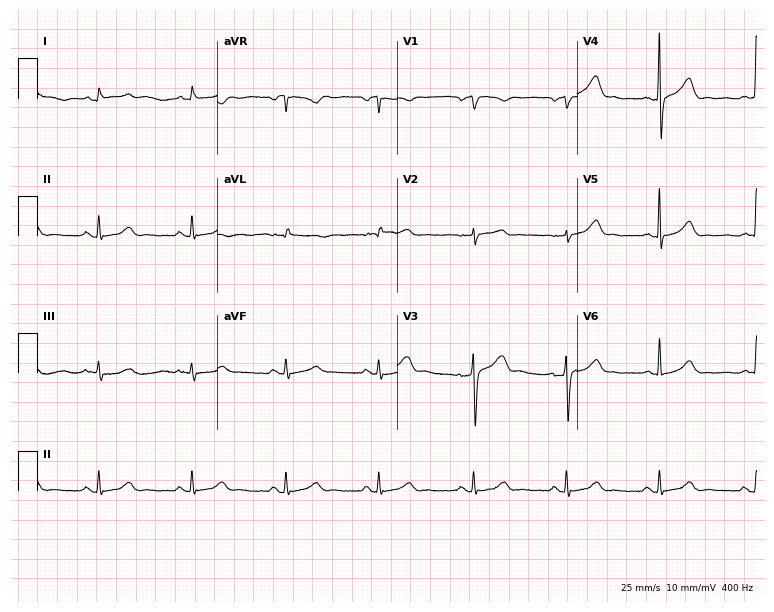
12-lead ECG from an 82-year-old male. Labelled as a normal ECG.